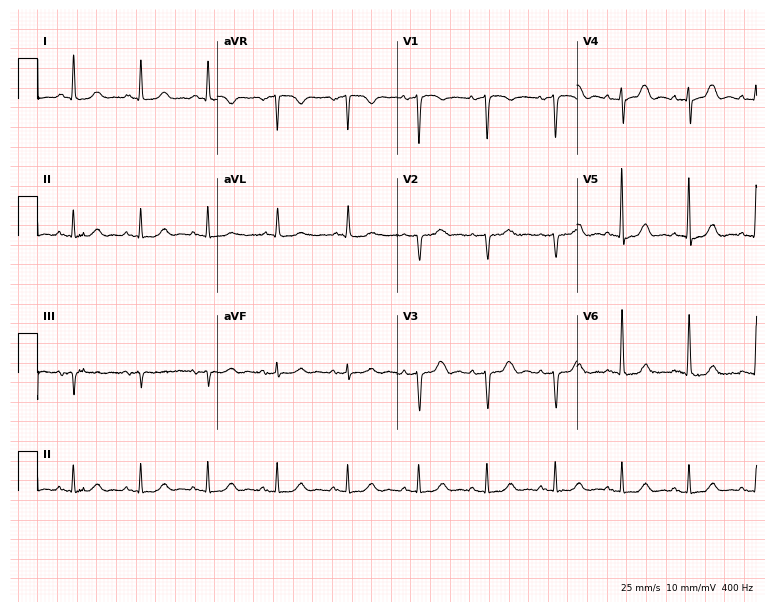
Resting 12-lead electrocardiogram. Patient: a female, 85 years old. Read as a normal ECG.